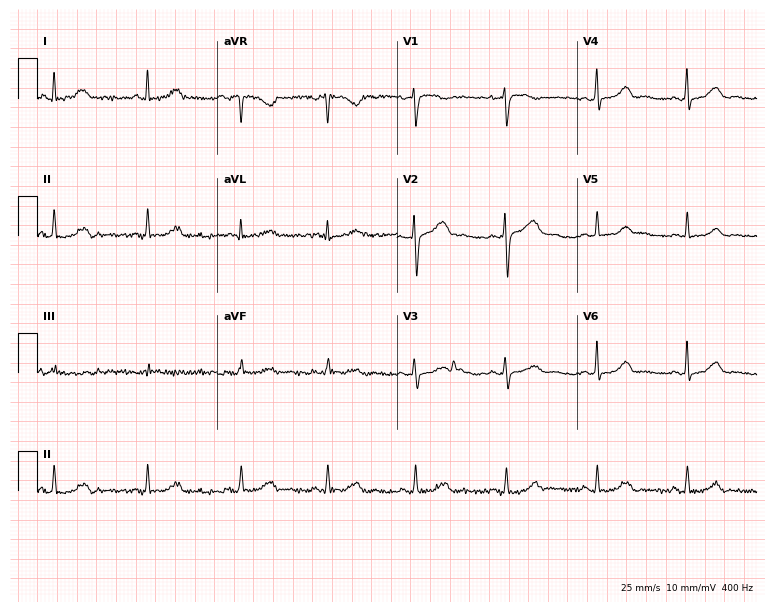
Standard 12-lead ECG recorded from a female, 47 years old. Read as a normal ECG.